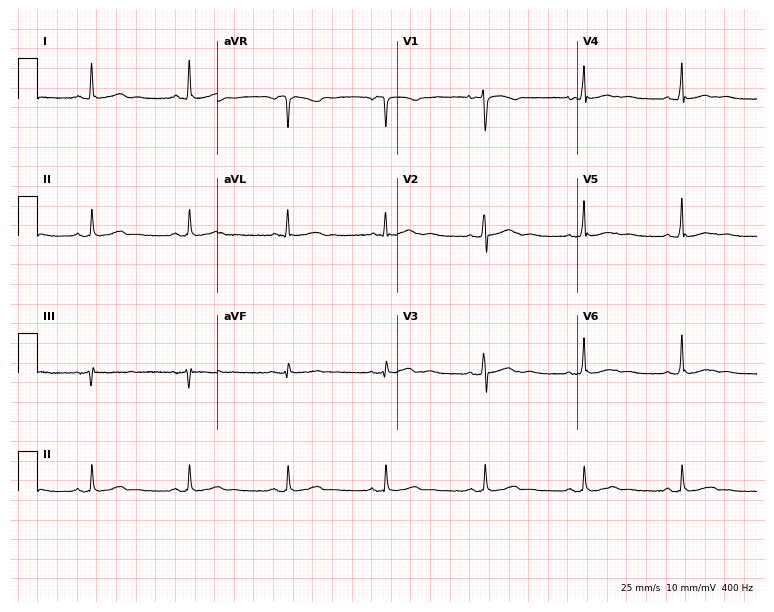
Electrocardiogram (7.3-second recording at 400 Hz), a female, 48 years old. Of the six screened findings (first-degree AV block, right bundle branch block (RBBB), left bundle branch block (LBBB), sinus bradycardia, atrial fibrillation (AF), sinus tachycardia), none is recorded.